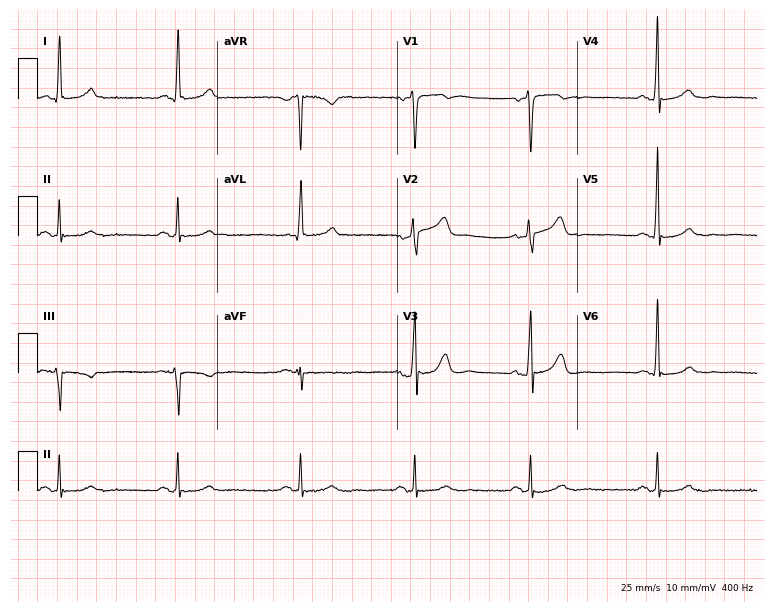
Standard 12-lead ECG recorded from a woman, 59 years old (7.3-second recording at 400 Hz). The tracing shows sinus bradycardia (a sinus rate of 50 beats per minute or less).